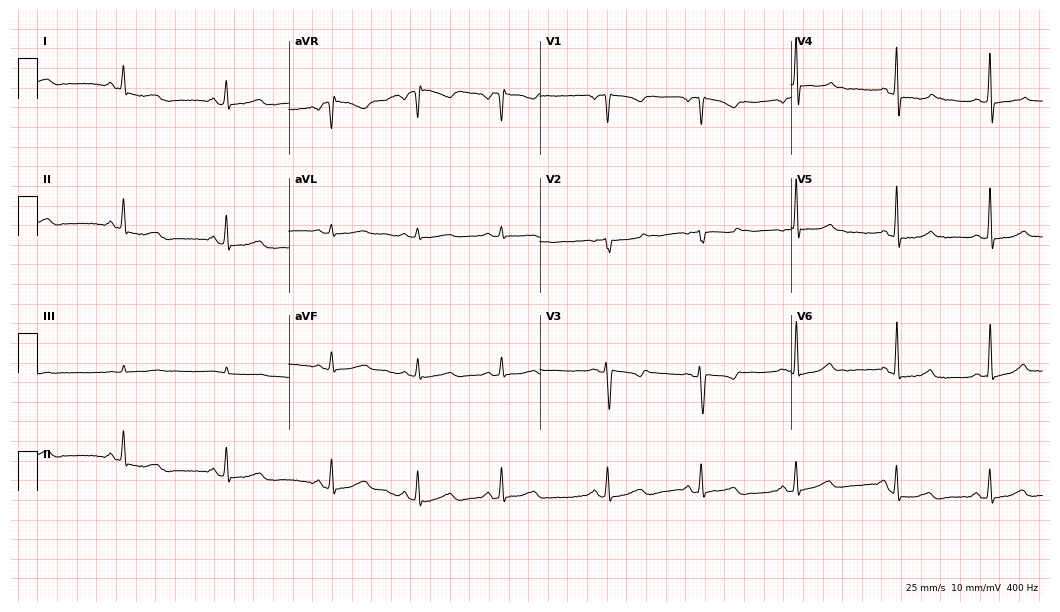
Electrocardiogram, a female, 33 years old. Of the six screened findings (first-degree AV block, right bundle branch block (RBBB), left bundle branch block (LBBB), sinus bradycardia, atrial fibrillation (AF), sinus tachycardia), none is recorded.